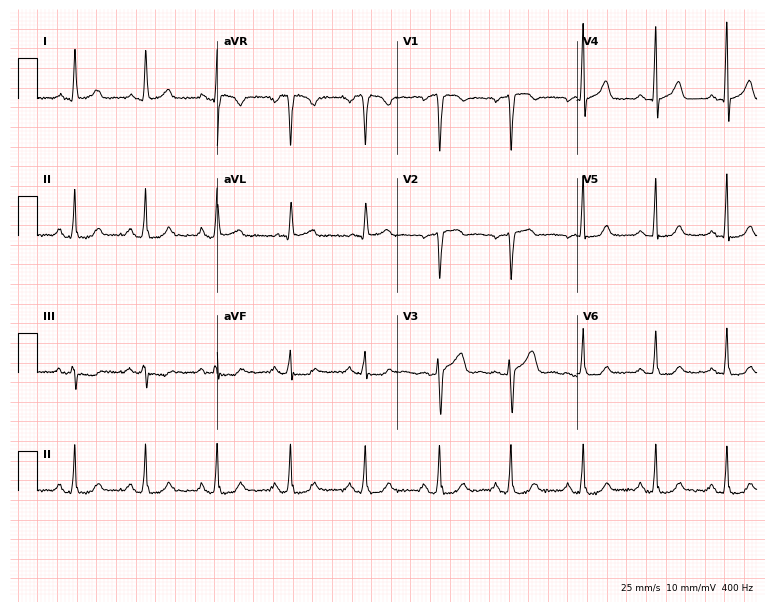
Standard 12-lead ECG recorded from a 65-year-old female (7.3-second recording at 400 Hz). Read as a normal ECG.